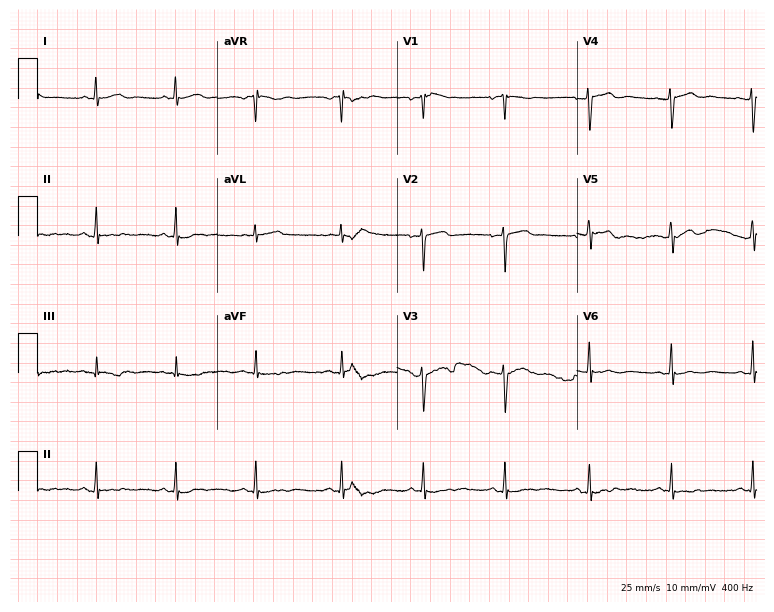
12-lead ECG from a female patient, 62 years old. Screened for six findings — first-degree AV block, right bundle branch block, left bundle branch block, sinus bradycardia, atrial fibrillation, sinus tachycardia — none is recorded.